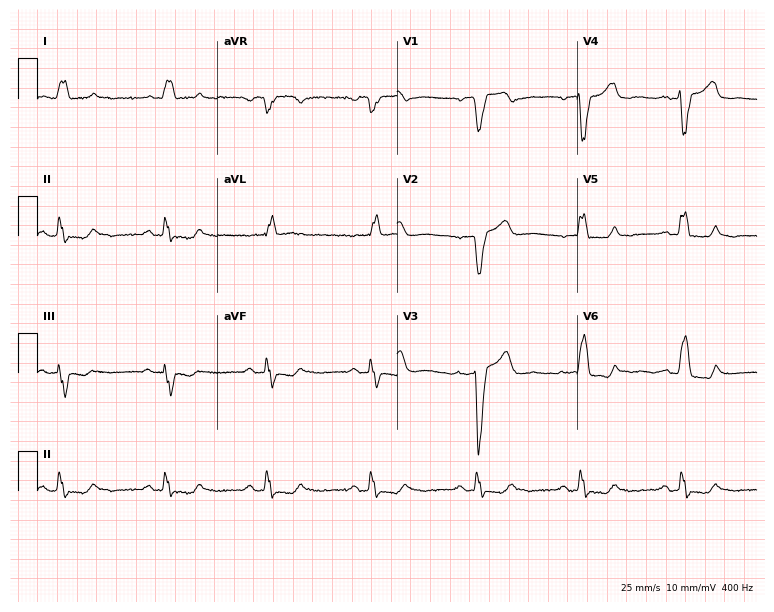
ECG — a female patient, 68 years old. Findings include left bundle branch block (LBBB).